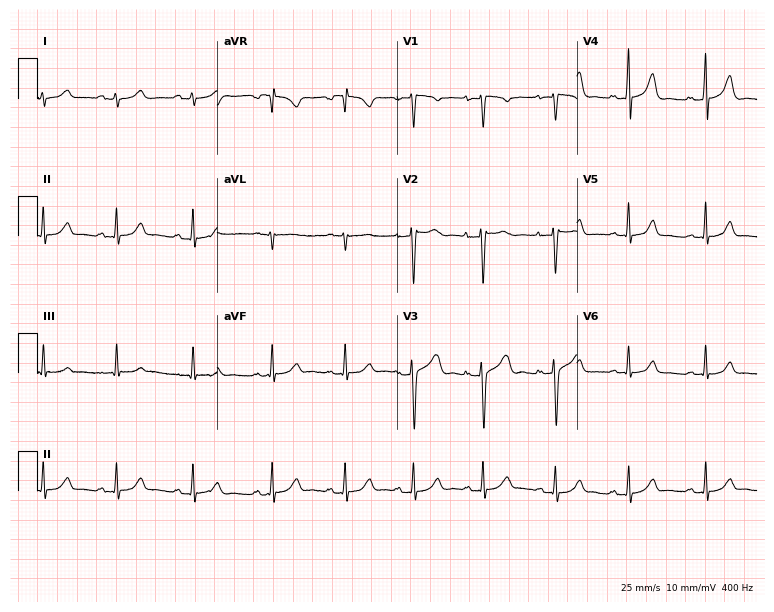
Standard 12-lead ECG recorded from a 26-year-old female. Read as a normal ECG.